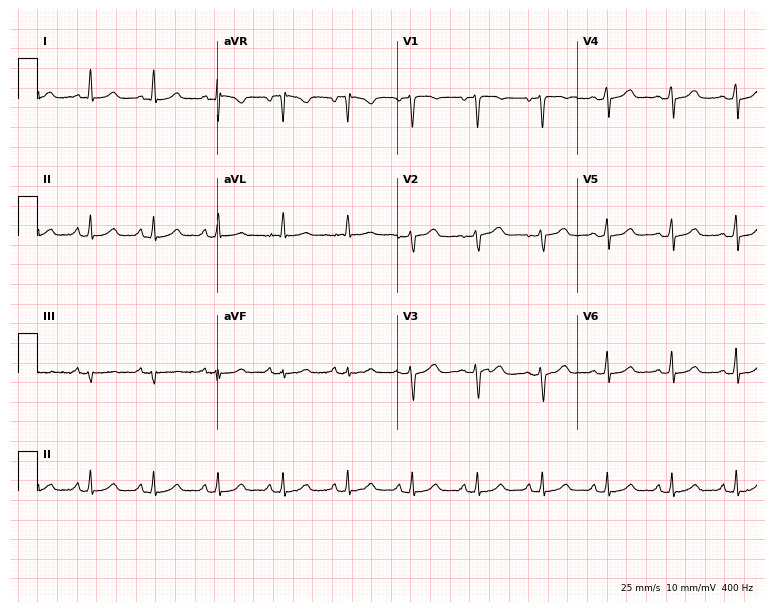
Standard 12-lead ECG recorded from a 43-year-old female (7.3-second recording at 400 Hz). Read as a normal ECG.